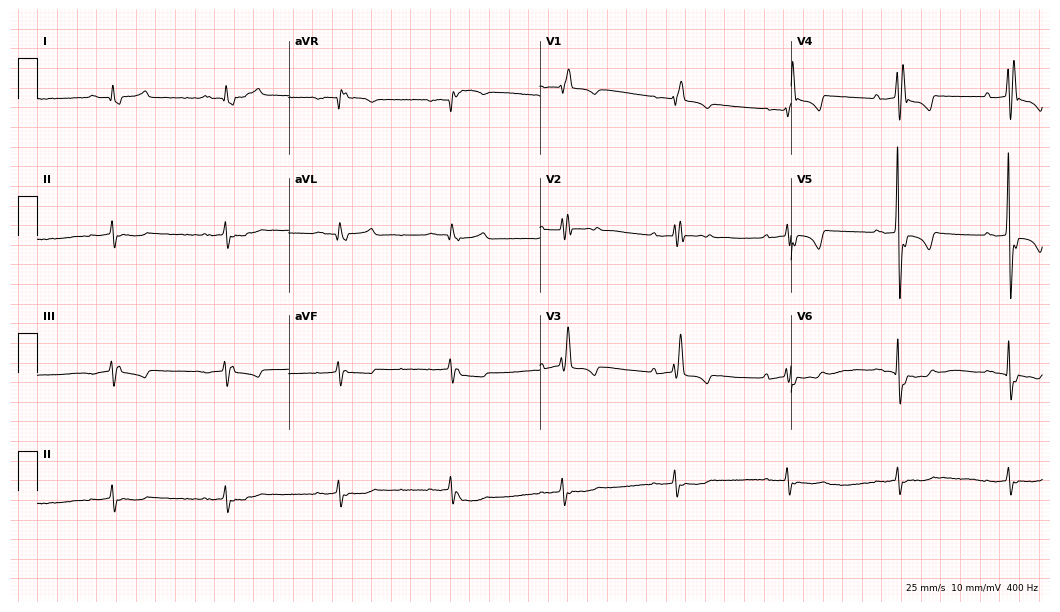
Standard 12-lead ECG recorded from an 83-year-old male. None of these six findings is recorded: first-degree AV block, right bundle branch block, left bundle branch block, sinus bradycardia, atrial fibrillation, sinus tachycardia. Only these six findings were labelled.